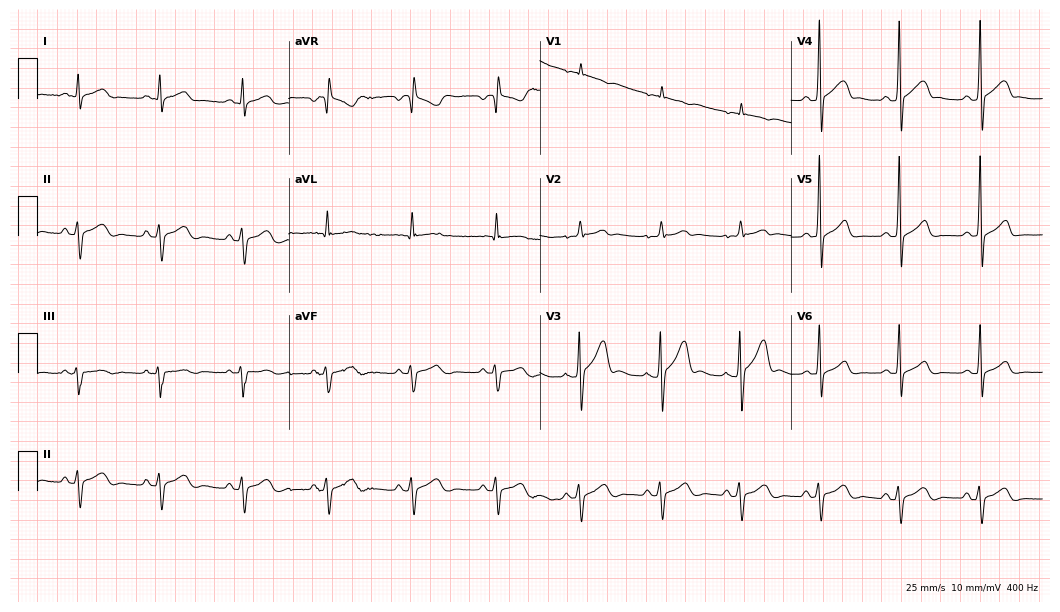
ECG — a 31-year-old male. Screened for six findings — first-degree AV block, right bundle branch block (RBBB), left bundle branch block (LBBB), sinus bradycardia, atrial fibrillation (AF), sinus tachycardia — none is recorded.